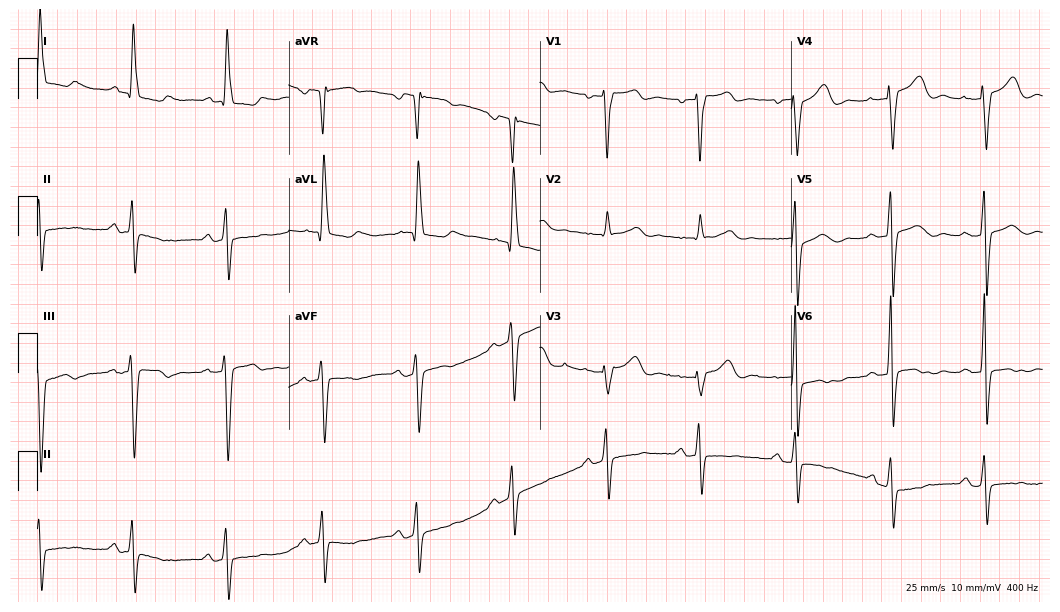
12-lead ECG from a female patient, 83 years old (10.2-second recording at 400 Hz). No first-degree AV block, right bundle branch block, left bundle branch block, sinus bradycardia, atrial fibrillation or sinus tachycardia recorded for this tracing.